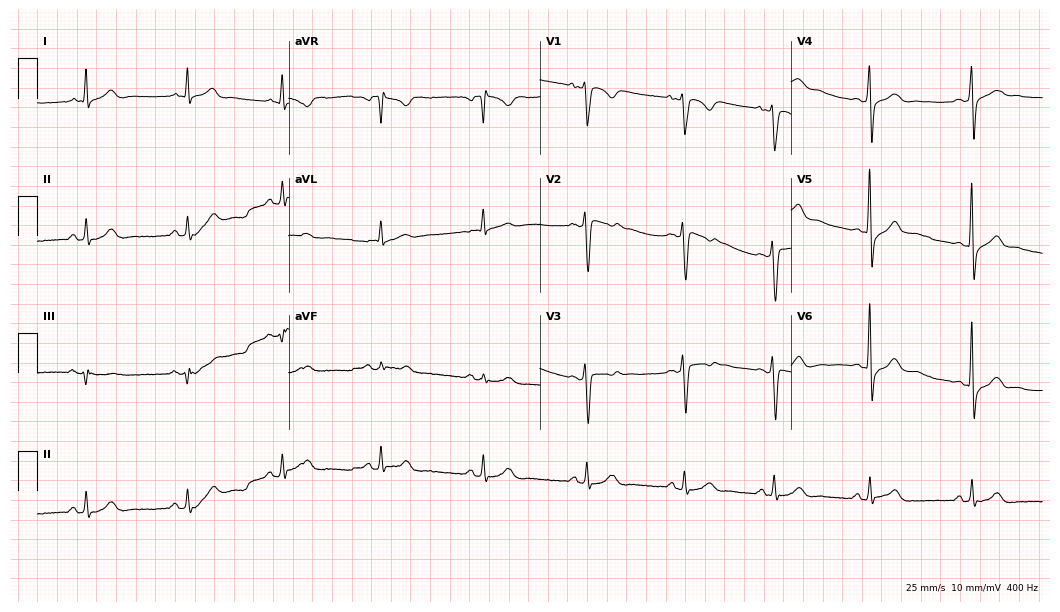
Electrocardiogram (10.2-second recording at 400 Hz), a male patient, 29 years old. Overall reading on record: normal ECG.